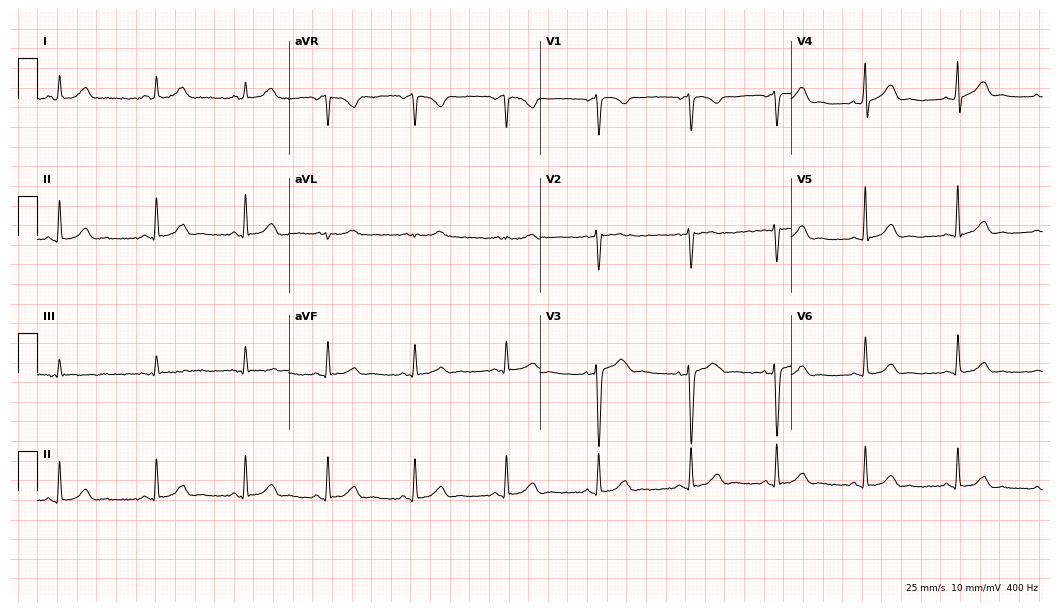
ECG (10.2-second recording at 400 Hz) — a 32-year-old male. Labelled as a normal ECG.